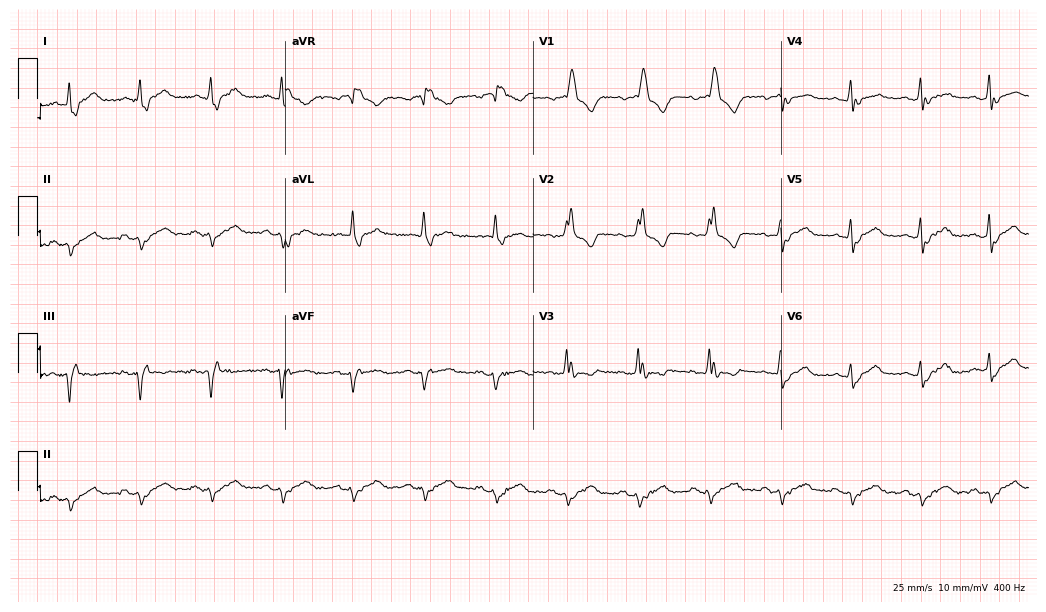
12-lead ECG from a 55-year-old male patient. Shows right bundle branch block.